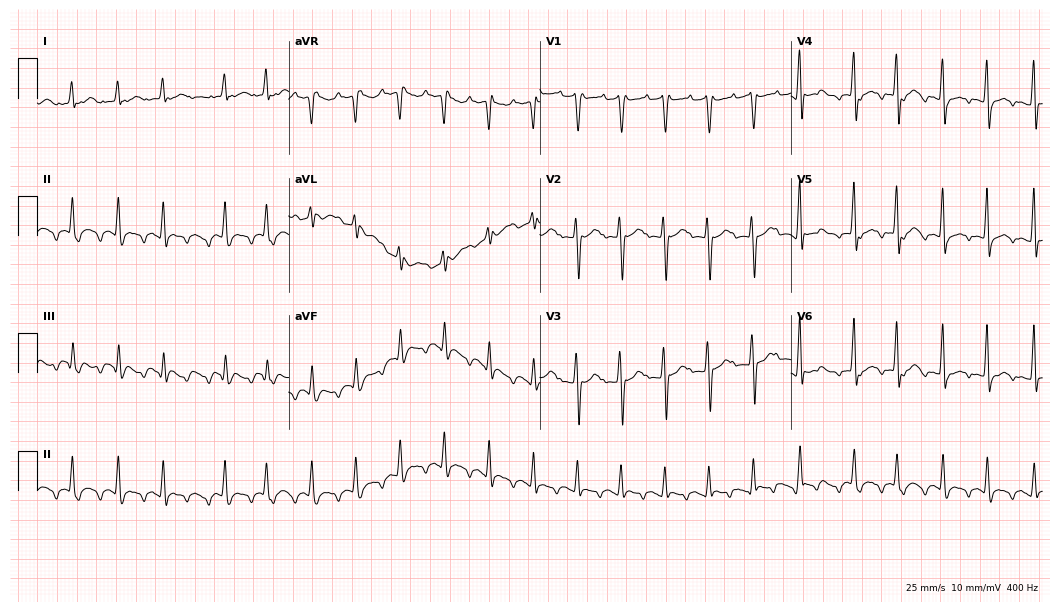
ECG — a 42-year-old female patient. Screened for six findings — first-degree AV block, right bundle branch block, left bundle branch block, sinus bradycardia, atrial fibrillation, sinus tachycardia — none is recorded. Findings outside these six are not listed.